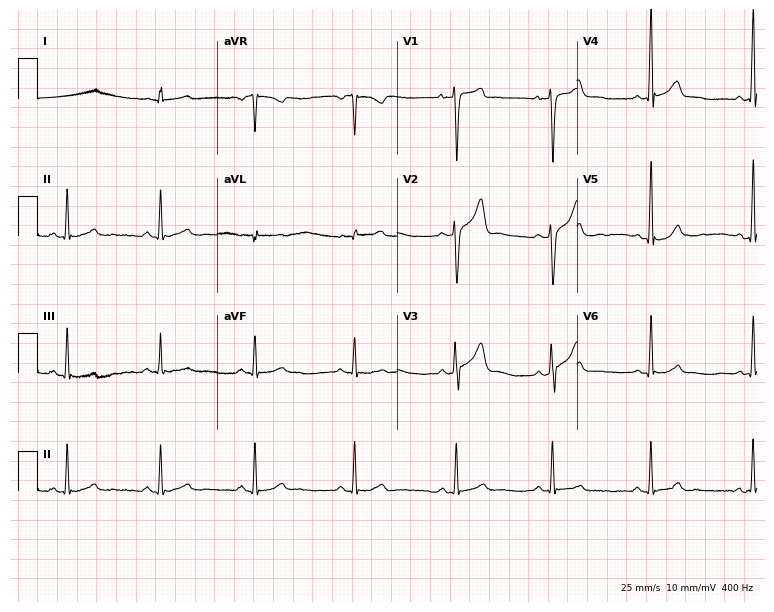
Resting 12-lead electrocardiogram. Patient: a man, 34 years old. Read as a normal ECG.